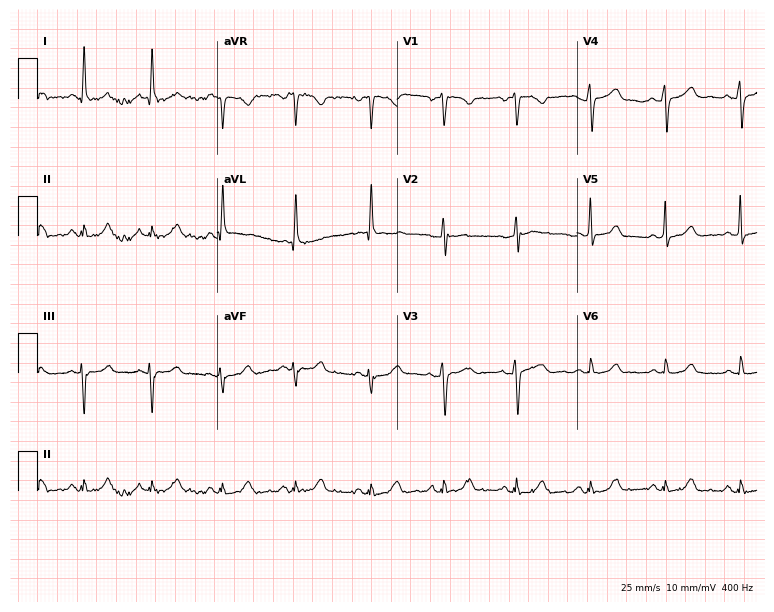
12-lead ECG from a woman, 46 years old (7.3-second recording at 400 Hz). Recorded interpretation: within normal limits.